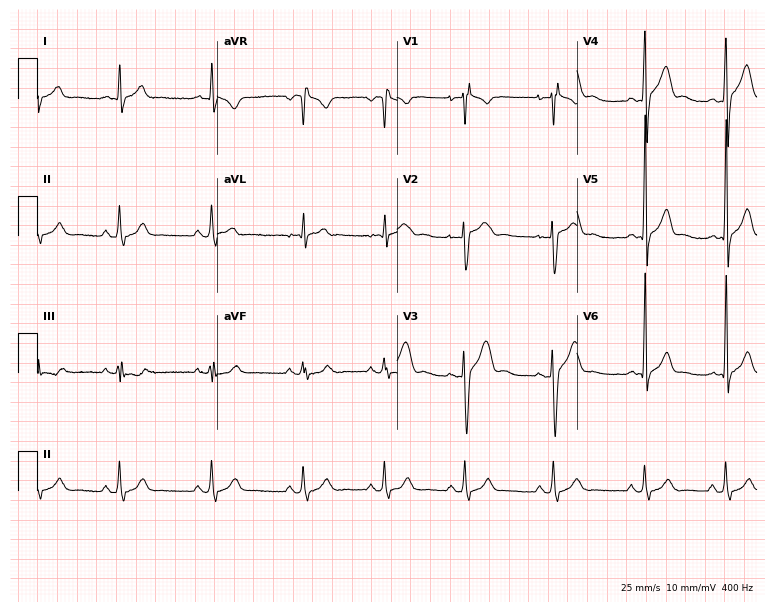
Standard 12-lead ECG recorded from a 25-year-old man. None of these six findings is recorded: first-degree AV block, right bundle branch block (RBBB), left bundle branch block (LBBB), sinus bradycardia, atrial fibrillation (AF), sinus tachycardia.